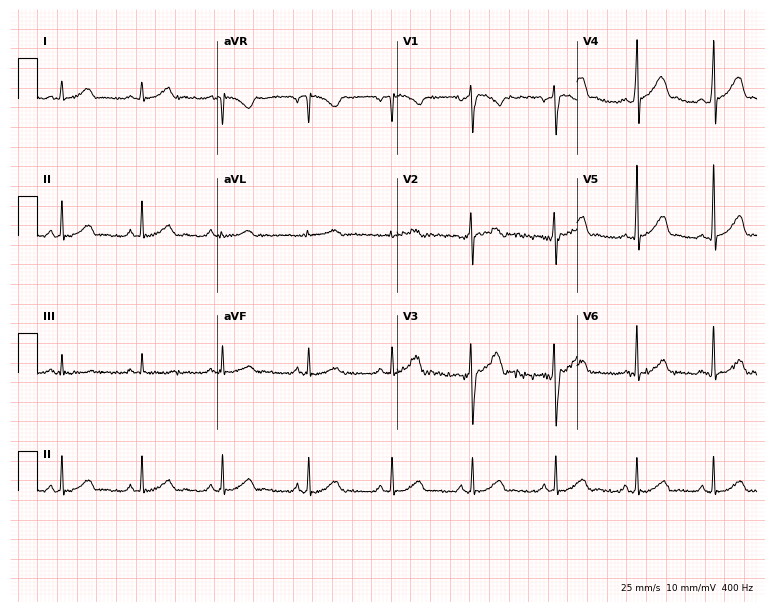
Resting 12-lead electrocardiogram. Patient: a 20-year-old male. Read as a normal ECG.